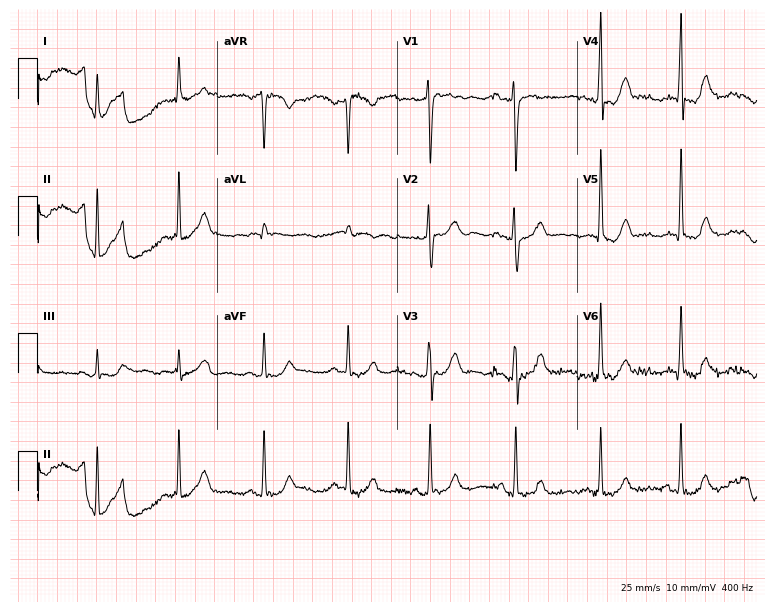
12-lead ECG from a 41-year-old female patient. Recorded interpretation: within normal limits.